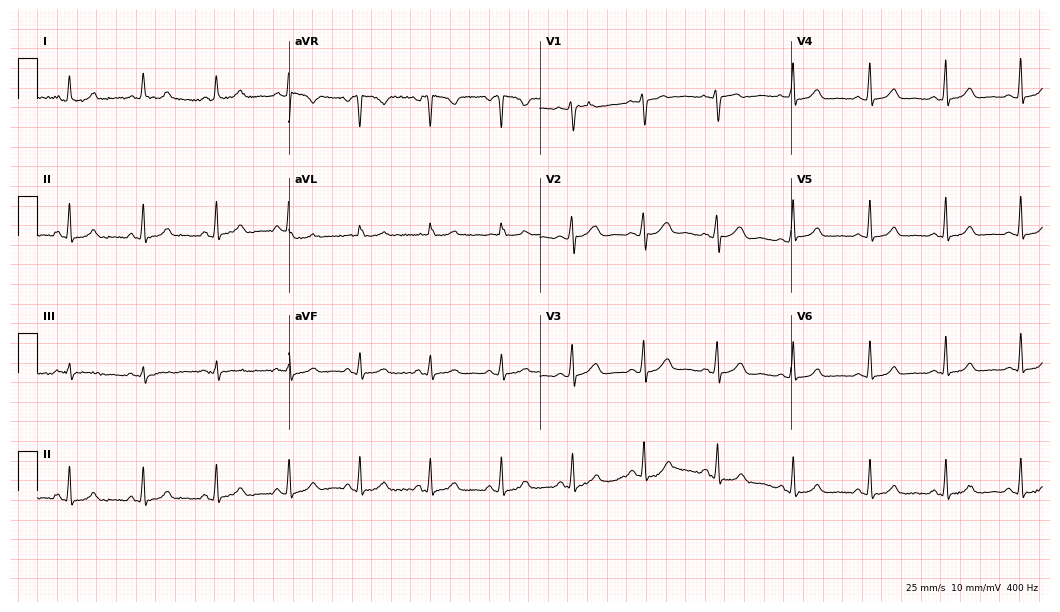
ECG — a 30-year-old female. Screened for six findings — first-degree AV block, right bundle branch block, left bundle branch block, sinus bradycardia, atrial fibrillation, sinus tachycardia — none is recorded. Findings outside these six are not listed.